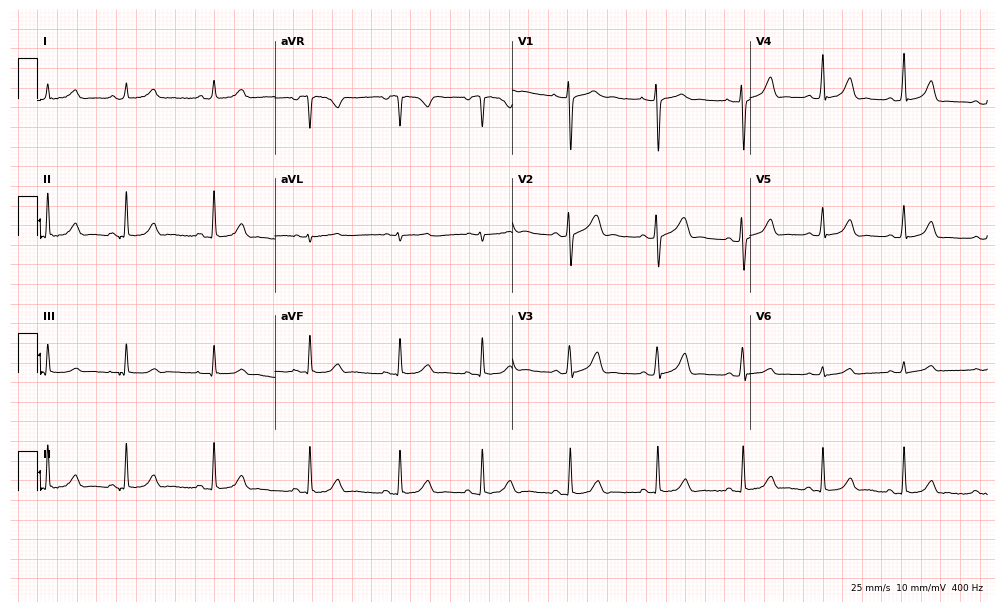
Electrocardiogram (9.7-second recording at 400 Hz), a 25-year-old woman. Overall reading on record: normal ECG.